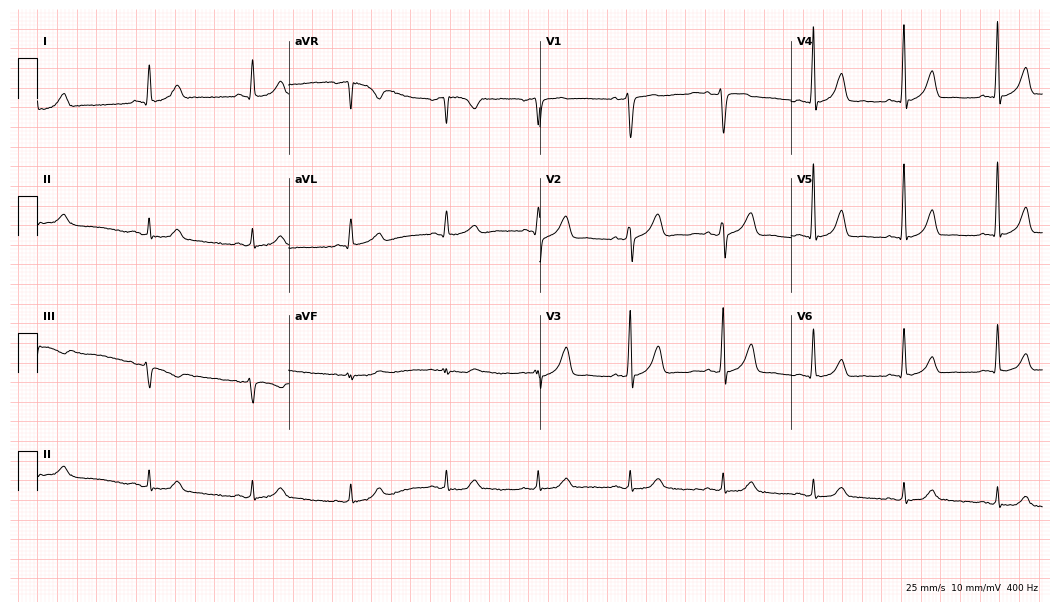
Electrocardiogram (10.2-second recording at 400 Hz), a male, 52 years old. Overall reading on record: normal ECG.